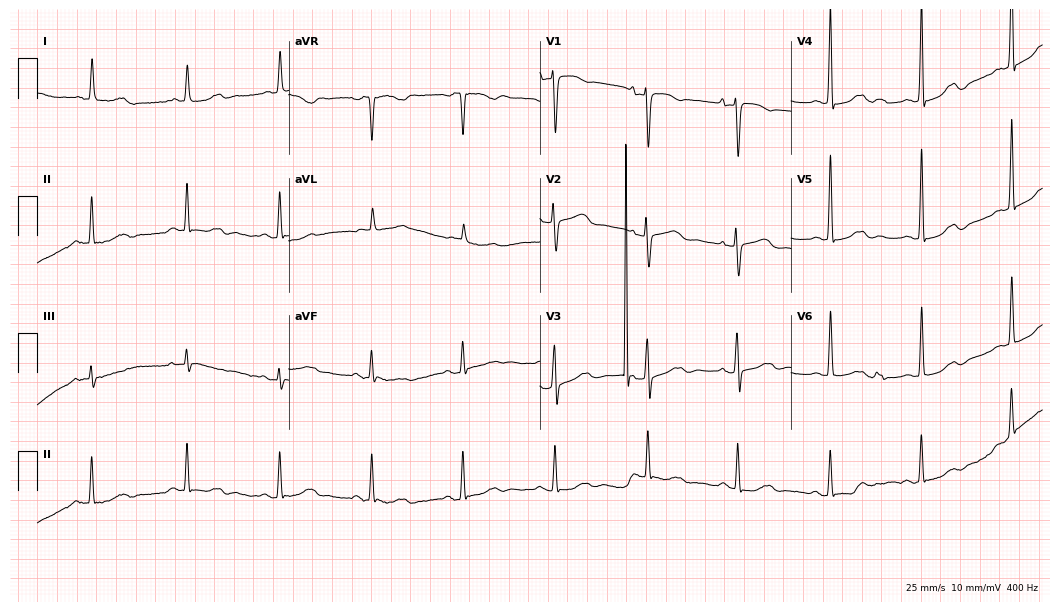
Resting 12-lead electrocardiogram. Patient: a female, 82 years old. None of these six findings is recorded: first-degree AV block, right bundle branch block, left bundle branch block, sinus bradycardia, atrial fibrillation, sinus tachycardia. Other findings, if any, are not listed.